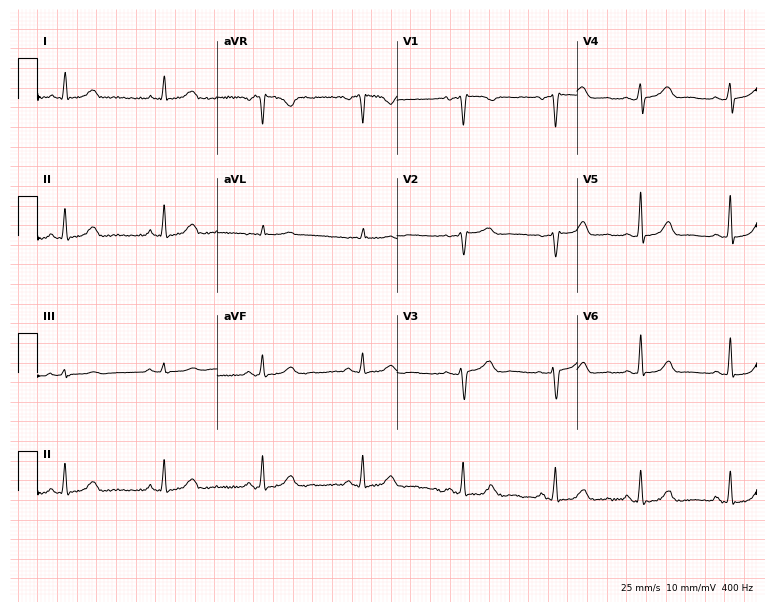
ECG — a 52-year-old female patient. Screened for six findings — first-degree AV block, right bundle branch block, left bundle branch block, sinus bradycardia, atrial fibrillation, sinus tachycardia — none is recorded. Other findings, if any, are not listed.